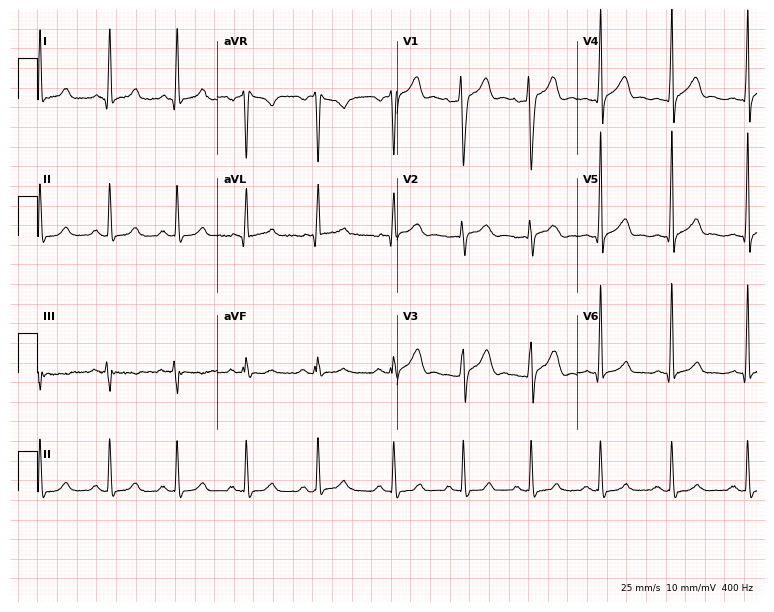
12-lead ECG from a male, 26 years old (7.3-second recording at 400 Hz). Recorded interpretation: within normal limits.